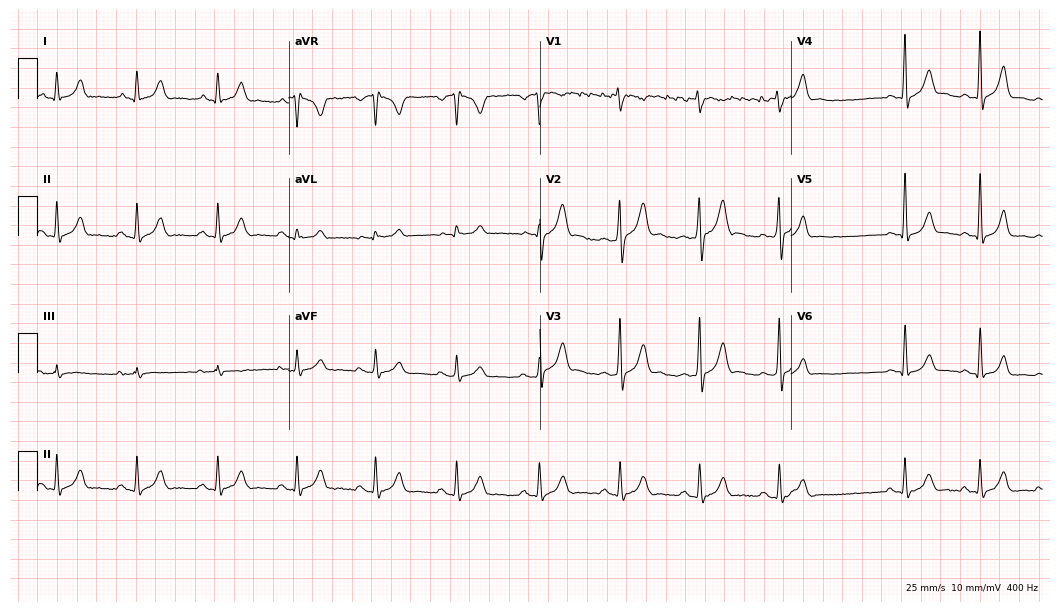
Electrocardiogram (10.2-second recording at 400 Hz), a male patient, 28 years old. Of the six screened findings (first-degree AV block, right bundle branch block (RBBB), left bundle branch block (LBBB), sinus bradycardia, atrial fibrillation (AF), sinus tachycardia), none is recorded.